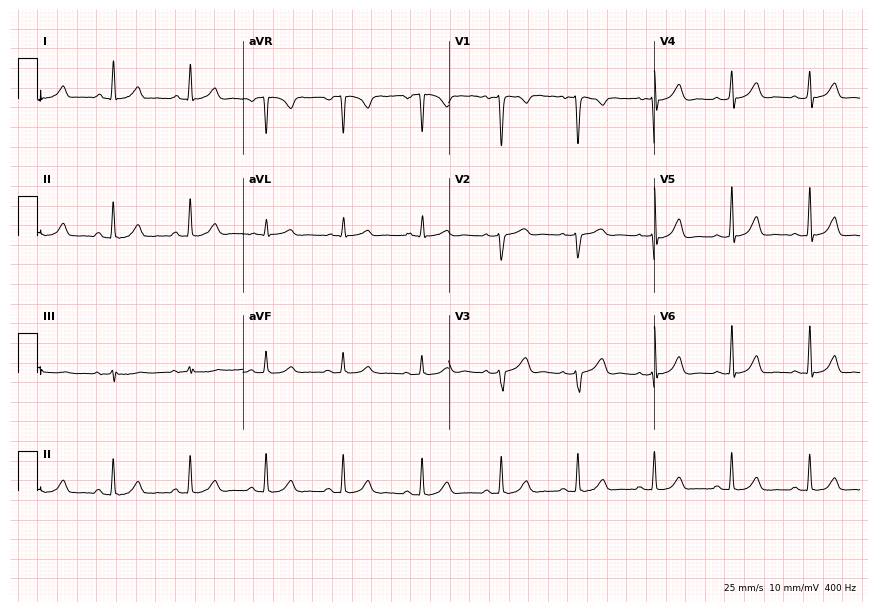
Resting 12-lead electrocardiogram (8.4-second recording at 400 Hz). Patient: a female, 40 years old. None of these six findings is recorded: first-degree AV block, right bundle branch block, left bundle branch block, sinus bradycardia, atrial fibrillation, sinus tachycardia. Other findings, if any, are not listed.